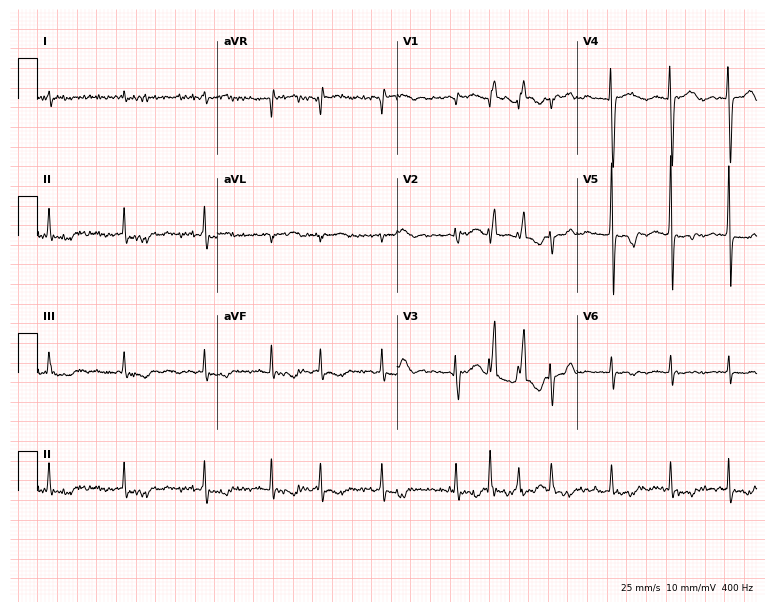
Resting 12-lead electrocardiogram (7.3-second recording at 400 Hz). Patient: a female, 78 years old. The tracing shows atrial fibrillation.